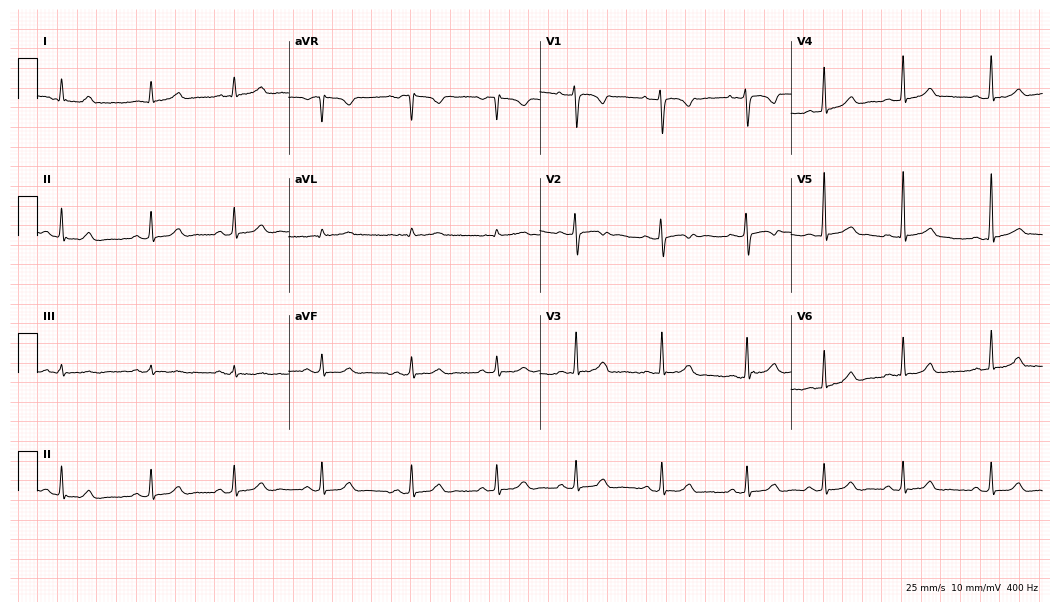
12-lead ECG from a woman, 23 years old. Labelled as a normal ECG.